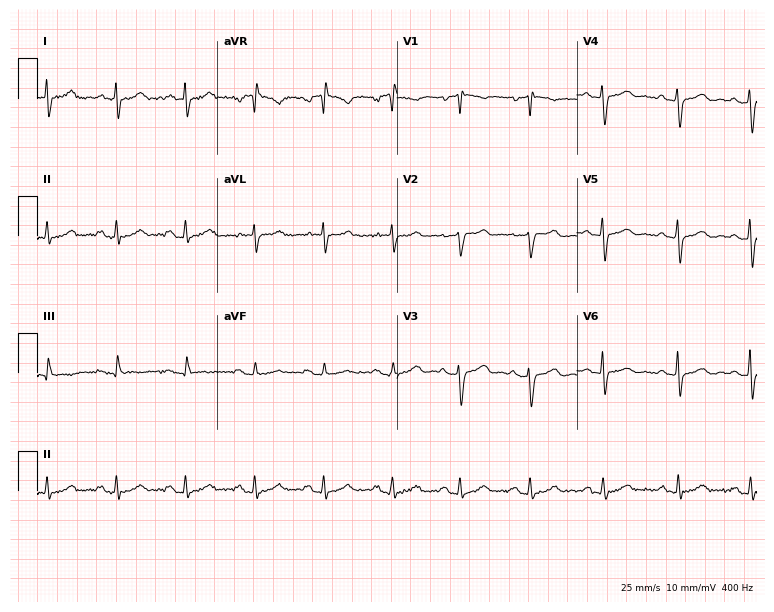
Standard 12-lead ECG recorded from a 51-year-old female. None of these six findings is recorded: first-degree AV block, right bundle branch block, left bundle branch block, sinus bradycardia, atrial fibrillation, sinus tachycardia.